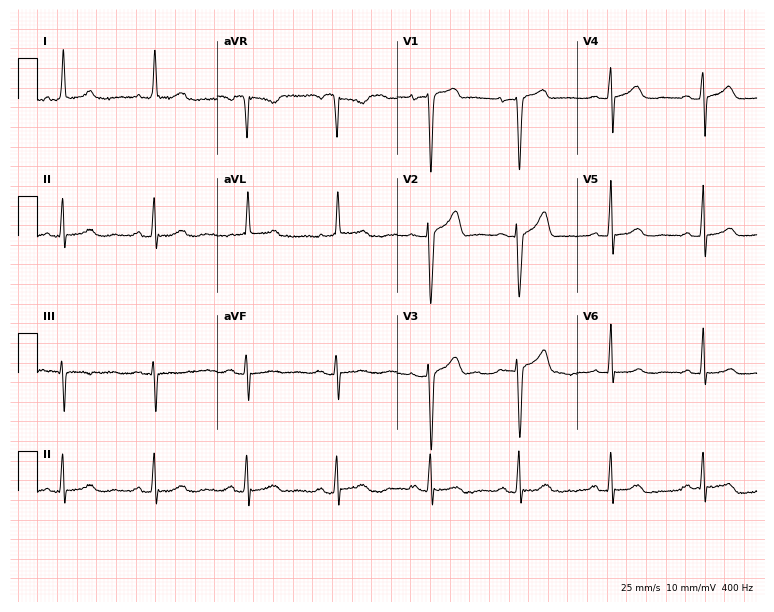
ECG (7.3-second recording at 400 Hz) — a female patient, 77 years old. Screened for six findings — first-degree AV block, right bundle branch block, left bundle branch block, sinus bradycardia, atrial fibrillation, sinus tachycardia — none is recorded.